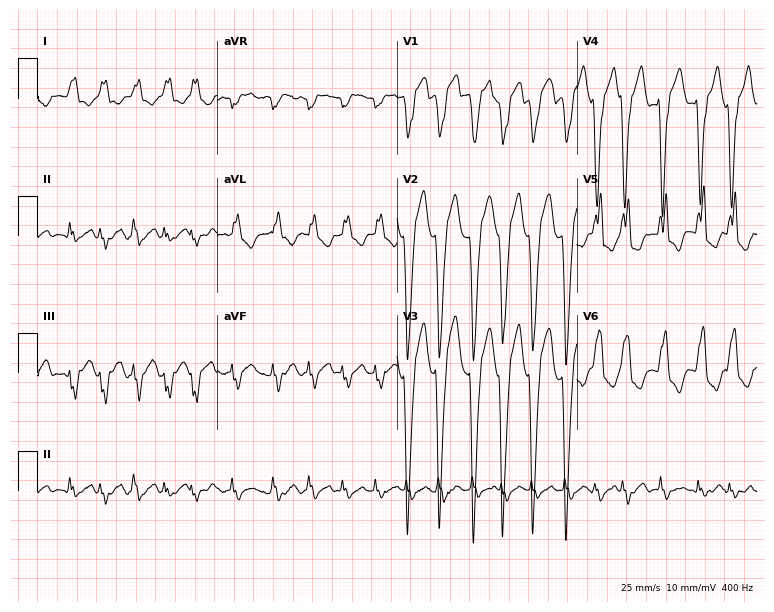
Electrocardiogram (7.3-second recording at 400 Hz), a 65-year-old female. Interpretation includes left bundle branch block (LBBB), atrial fibrillation (AF).